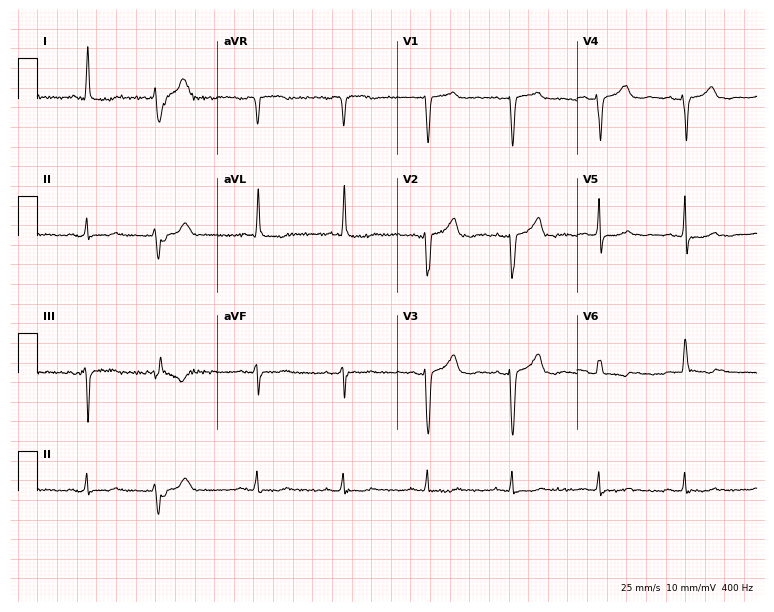
Standard 12-lead ECG recorded from an 81-year-old female (7.3-second recording at 400 Hz). None of these six findings is recorded: first-degree AV block, right bundle branch block (RBBB), left bundle branch block (LBBB), sinus bradycardia, atrial fibrillation (AF), sinus tachycardia.